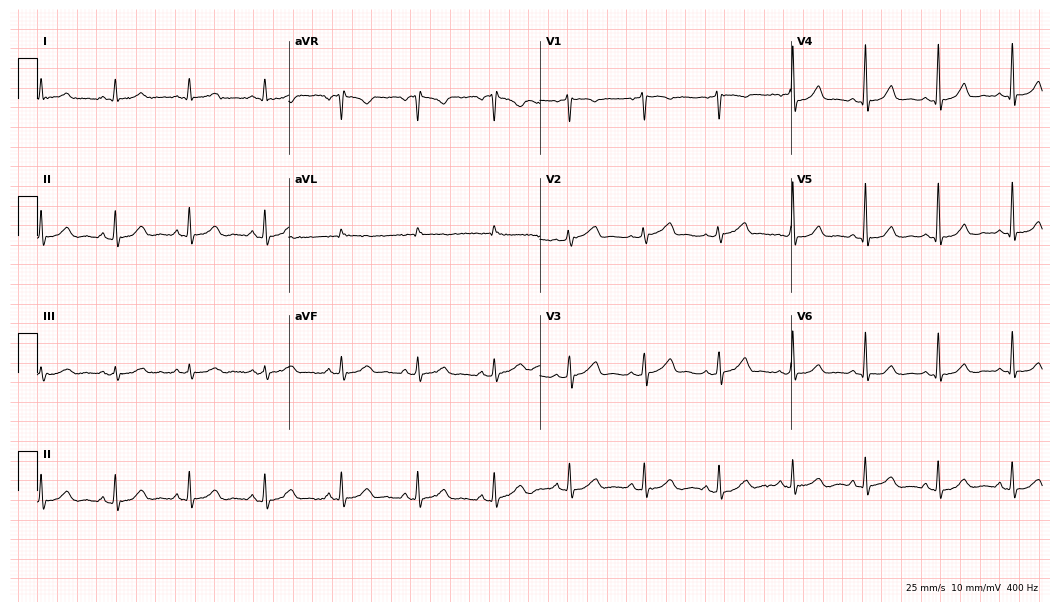
Standard 12-lead ECG recorded from a 48-year-old female patient (10.2-second recording at 400 Hz). Read as a normal ECG.